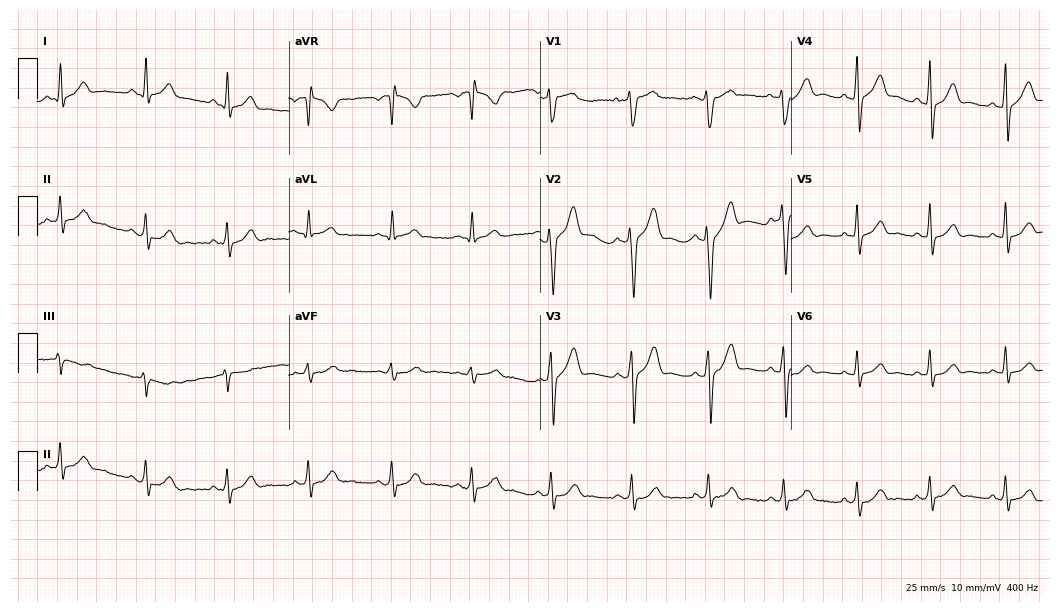
ECG — a male patient, 31 years old. Labelled as a normal ECG.